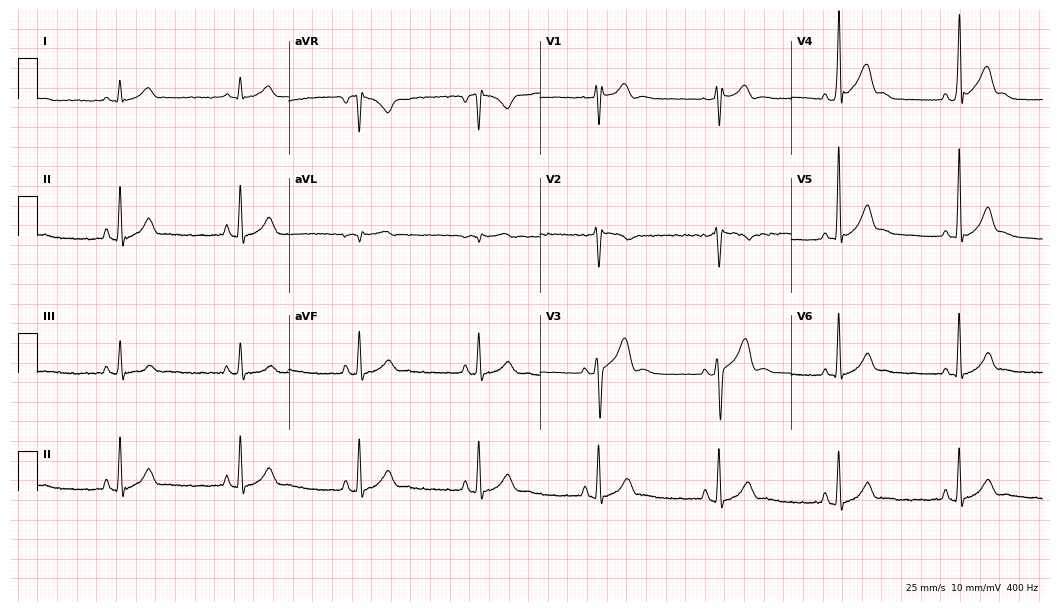
12-lead ECG (10.2-second recording at 400 Hz) from a 21-year-old male patient. Labelled as a normal ECG.